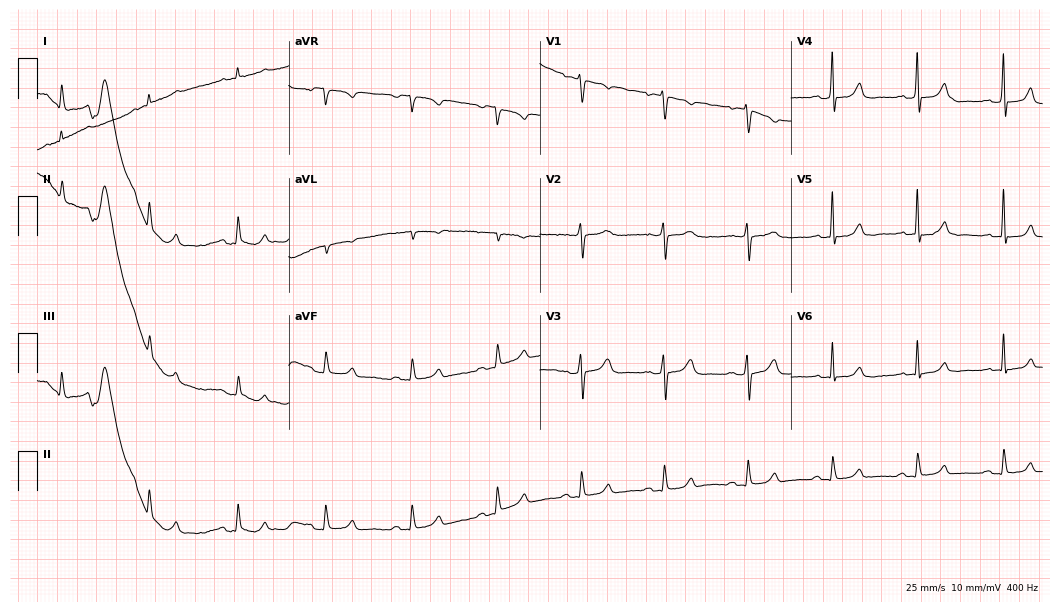
12-lead ECG from a male, 59 years old (10.2-second recording at 400 Hz). Recorded interpretation: within normal limits.